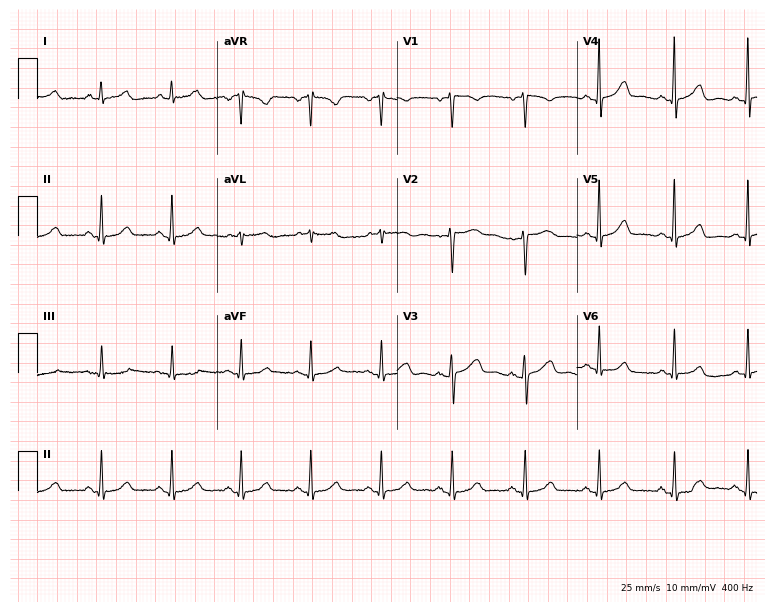
Electrocardiogram (7.3-second recording at 400 Hz), a 53-year-old woman. Of the six screened findings (first-degree AV block, right bundle branch block (RBBB), left bundle branch block (LBBB), sinus bradycardia, atrial fibrillation (AF), sinus tachycardia), none is recorded. Other findings, if any, are not listed.